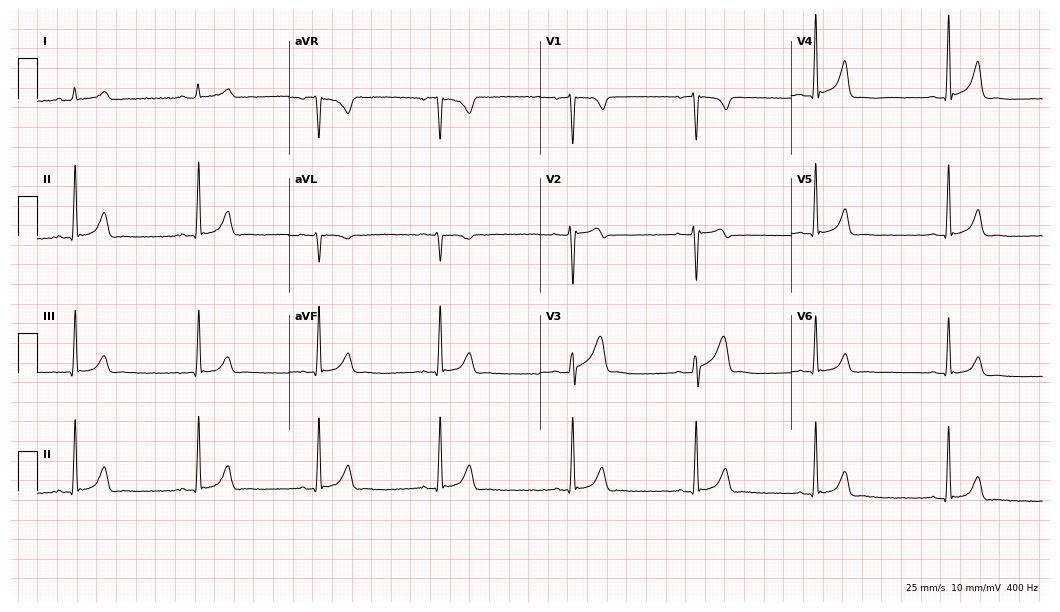
12-lead ECG (10.2-second recording at 400 Hz) from a man, 32 years old. Findings include sinus bradycardia (a sinus rate of 50 beats per minute or less).